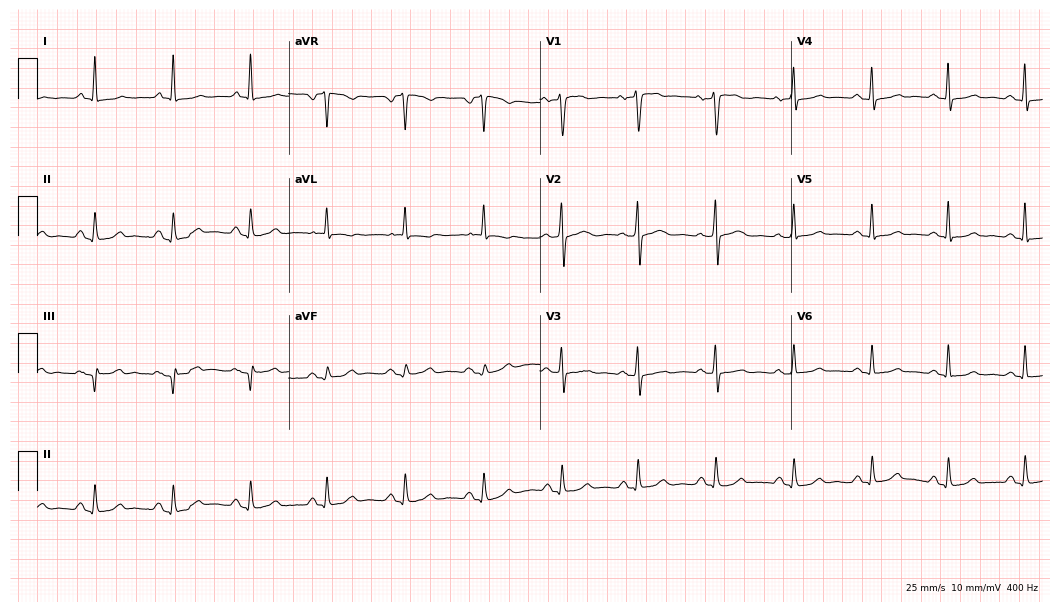
Electrocardiogram, a female, 65 years old. Of the six screened findings (first-degree AV block, right bundle branch block (RBBB), left bundle branch block (LBBB), sinus bradycardia, atrial fibrillation (AF), sinus tachycardia), none is recorded.